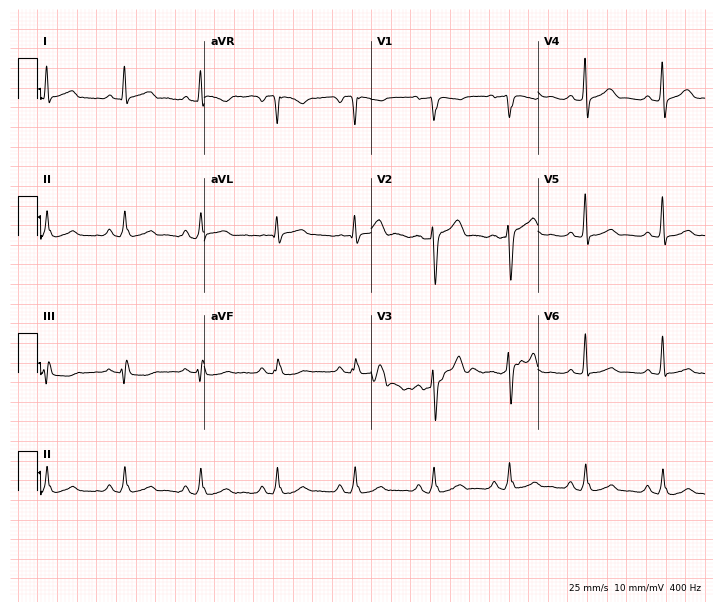
12-lead ECG from a 51-year-old male patient (6.8-second recording at 400 Hz). Recorded interpretation: within normal limits.